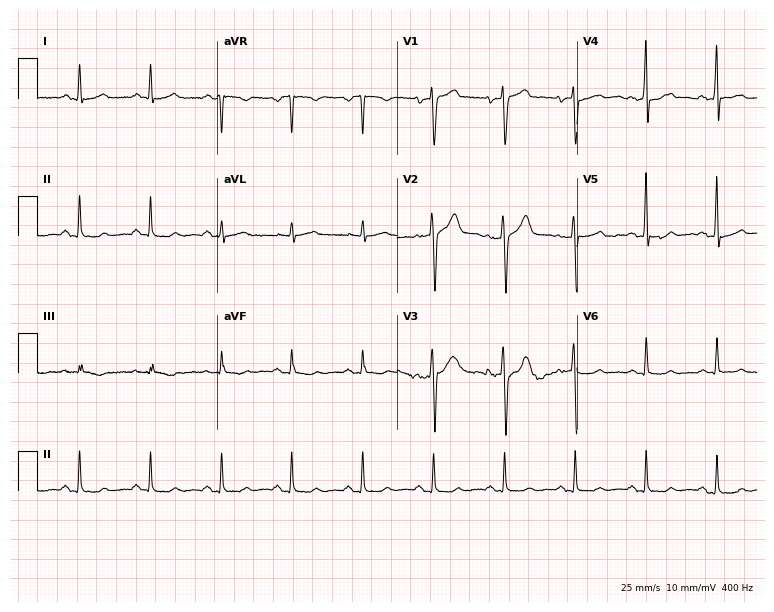
Resting 12-lead electrocardiogram (7.3-second recording at 400 Hz). Patient: a male, 36 years old. None of these six findings is recorded: first-degree AV block, right bundle branch block, left bundle branch block, sinus bradycardia, atrial fibrillation, sinus tachycardia. Other findings, if any, are not listed.